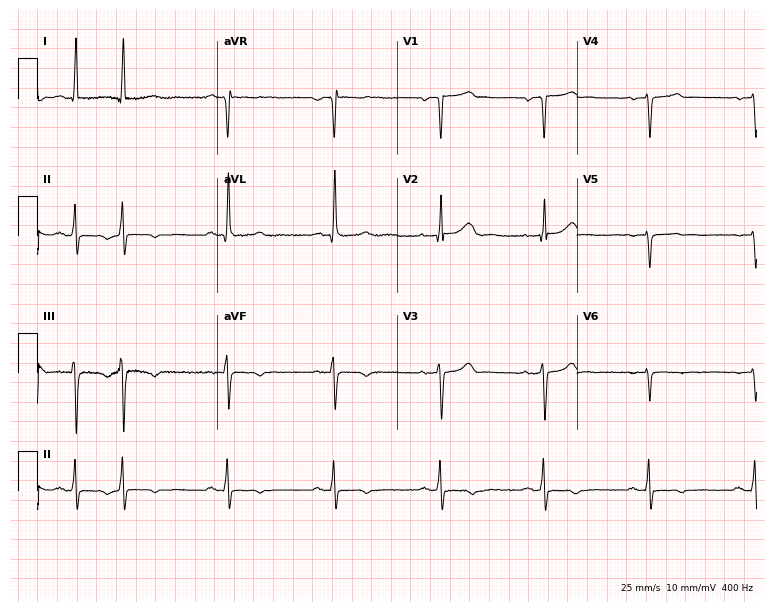
12-lead ECG from a man, 71 years old. Screened for six findings — first-degree AV block, right bundle branch block, left bundle branch block, sinus bradycardia, atrial fibrillation, sinus tachycardia — none is recorded.